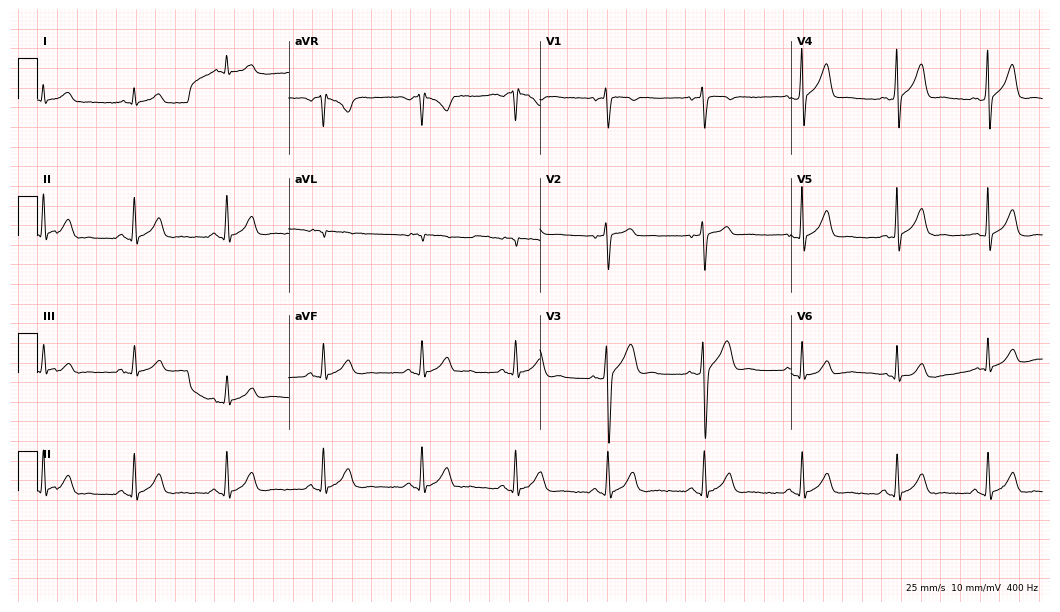
12-lead ECG from a 33-year-old male patient. Recorded interpretation: within normal limits.